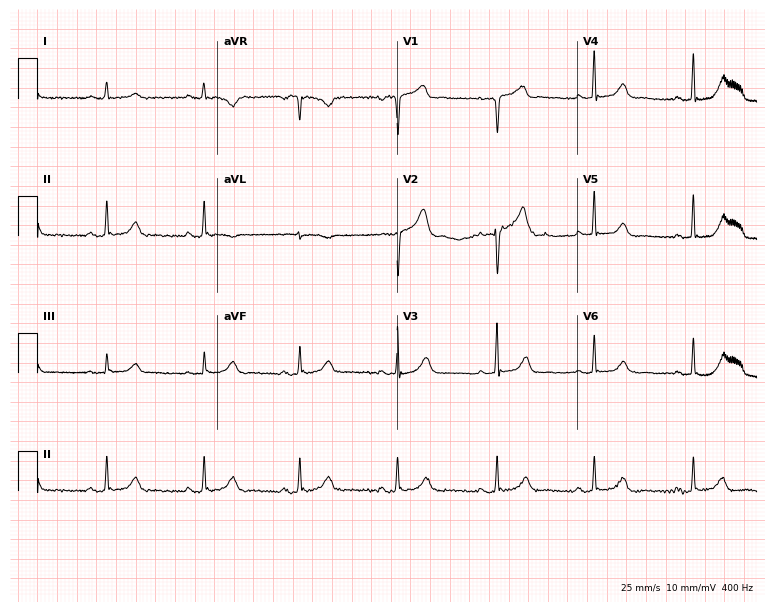
Electrocardiogram (7.3-second recording at 400 Hz), a 57-year-old male patient. Overall reading on record: normal ECG.